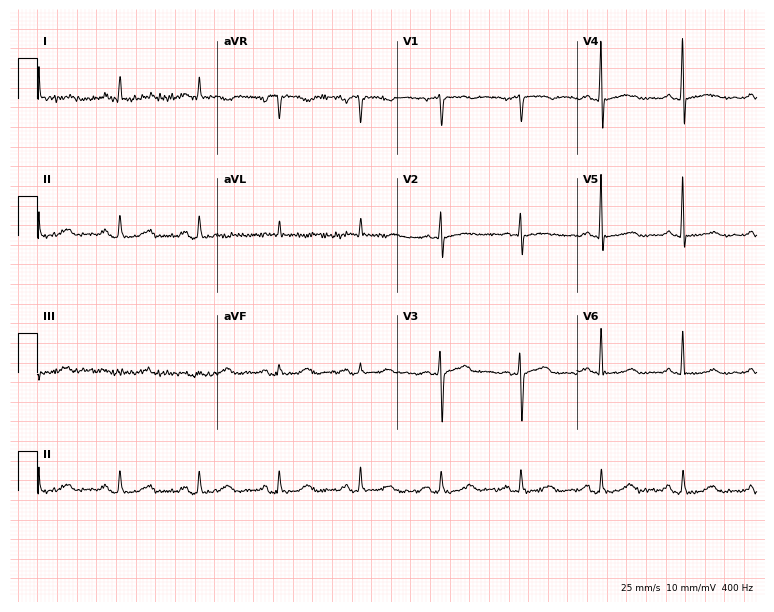
Electrocardiogram, a female, 61 years old. Of the six screened findings (first-degree AV block, right bundle branch block (RBBB), left bundle branch block (LBBB), sinus bradycardia, atrial fibrillation (AF), sinus tachycardia), none is recorded.